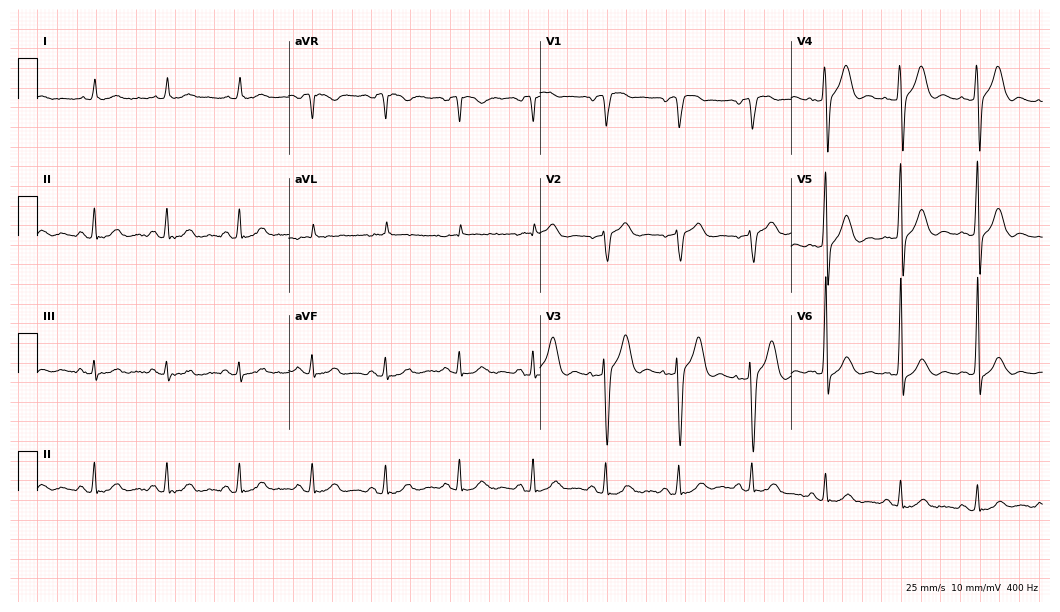
Electrocardiogram, a man, 71 years old. Overall reading on record: normal ECG.